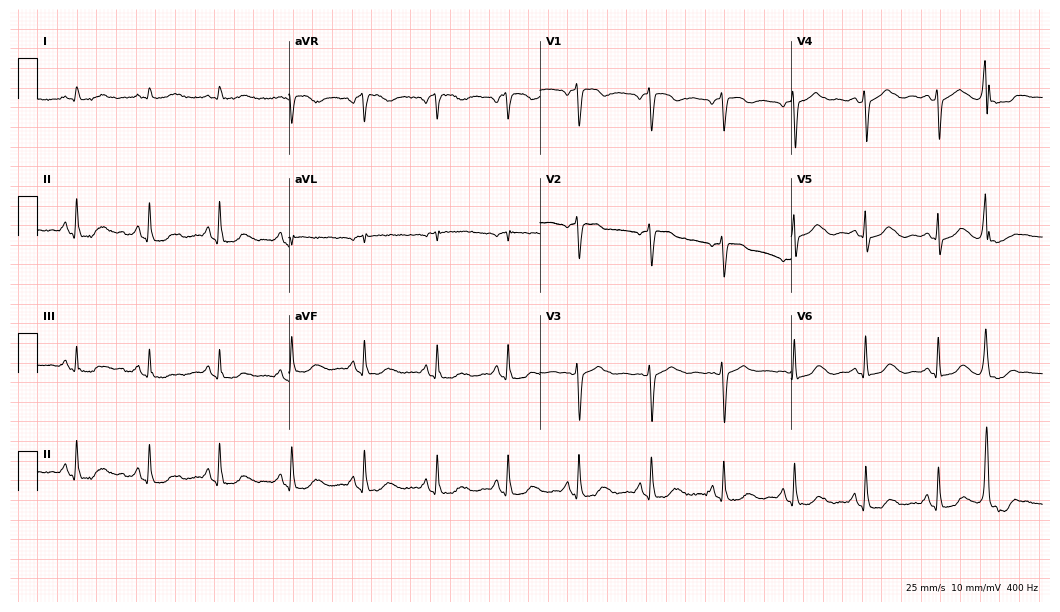
Electrocardiogram, a 65-year-old woman. Of the six screened findings (first-degree AV block, right bundle branch block, left bundle branch block, sinus bradycardia, atrial fibrillation, sinus tachycardia), none is recorded.